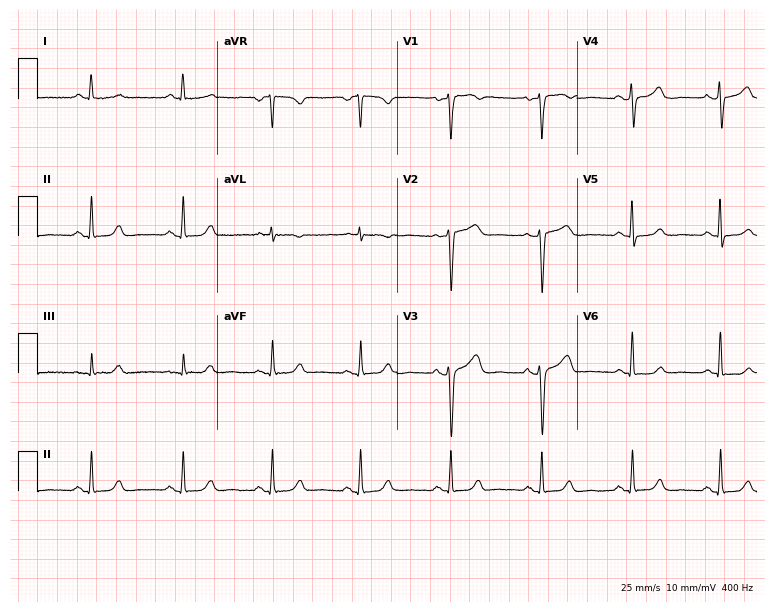
Standard 12-lead ECG recorded from a 61-year-old female patient. None of these six findings is recorded: first-degree AV block, right bundle branch block, left bundle branch block, sinus bradycardia, atrial fibrillation, sinus tachycardia. Only these six findings were labelled.